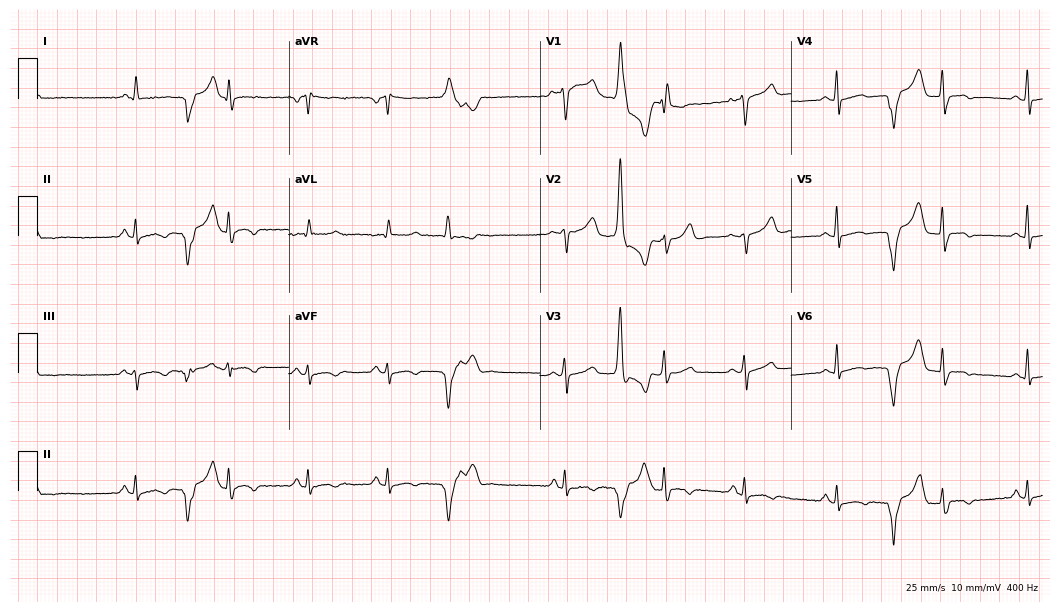
ECG (10.2-second recording at 400 Hz) — a female patient, 41 years old. Screened for six findings — first-degree AV block, right bundle branch block, left bundle branch block, sinus bradycardia, atrial fibrillation, sinus tachycardia — none is recorded.